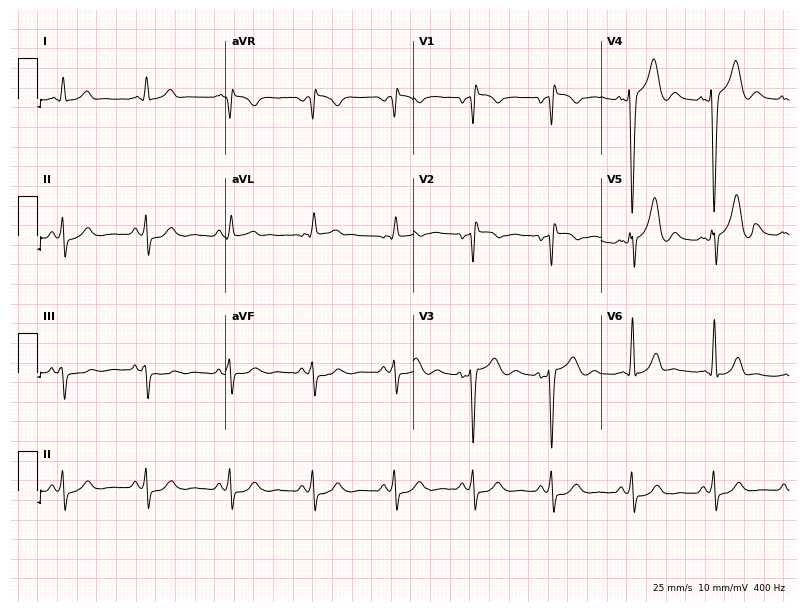
12-lead ECG from a 30-year-old male. No first-degree AV block, right bundle branch block, left bundle branch block, sinus bradycardia, atrial fibrillation or sinus tachycardia recorded for this tracing. Other findings, if any, are not listed.